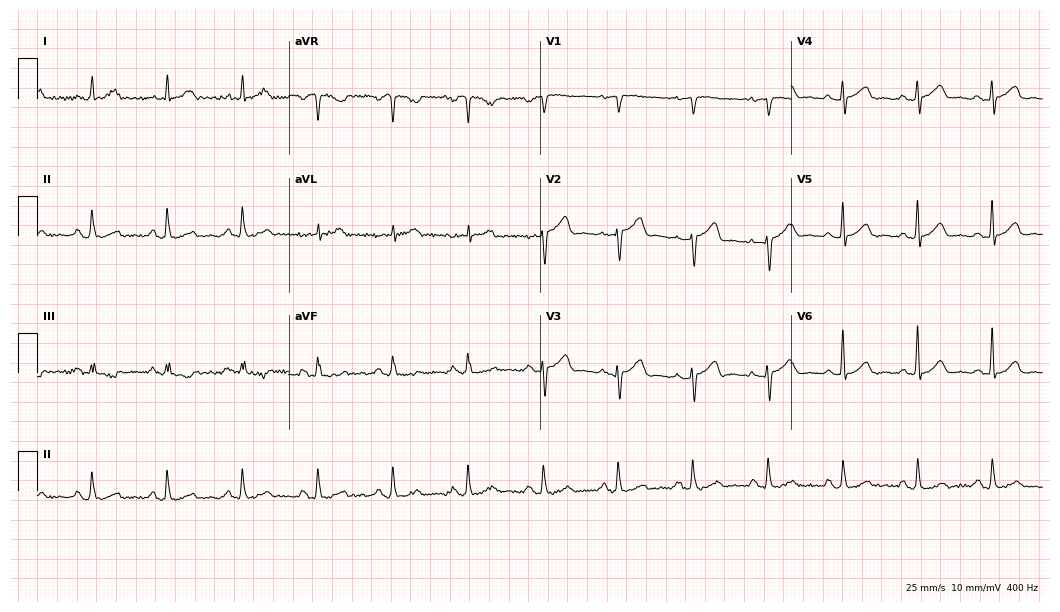
Standard 12-lead ECG recorded from a woman, 67 years old. Read as a normal ECG.